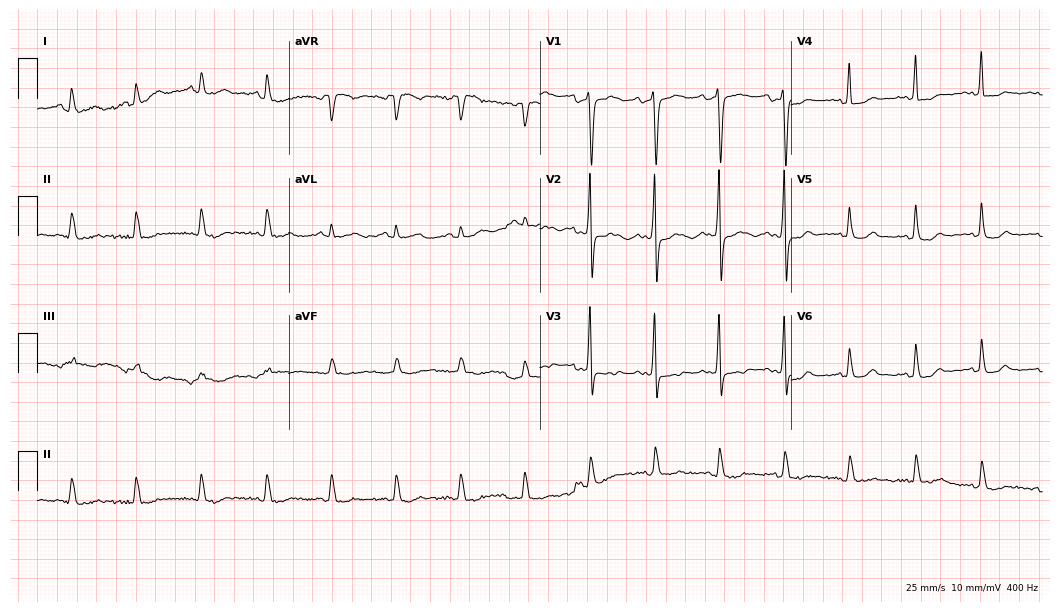
Electrocardiogram, a 62-year-old male. Of the six screened findings (first-degree AV block, right bundle branch block (RBBB), left bundle branch block (LBBB), sinus bradycardia, atrial fibrillation (AF), sinus tachycardia), none is recorded.